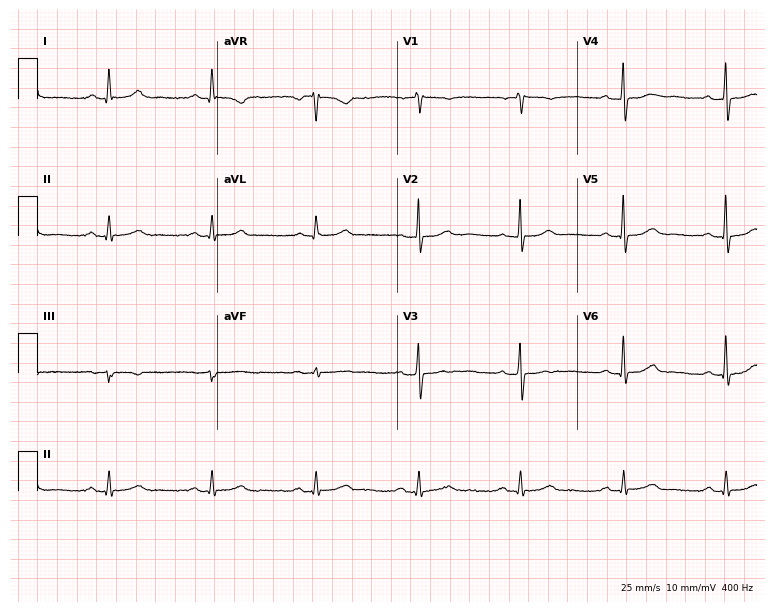
12-lead ECG from a 78-year-old man. Recorded interpretation: within normal limits.